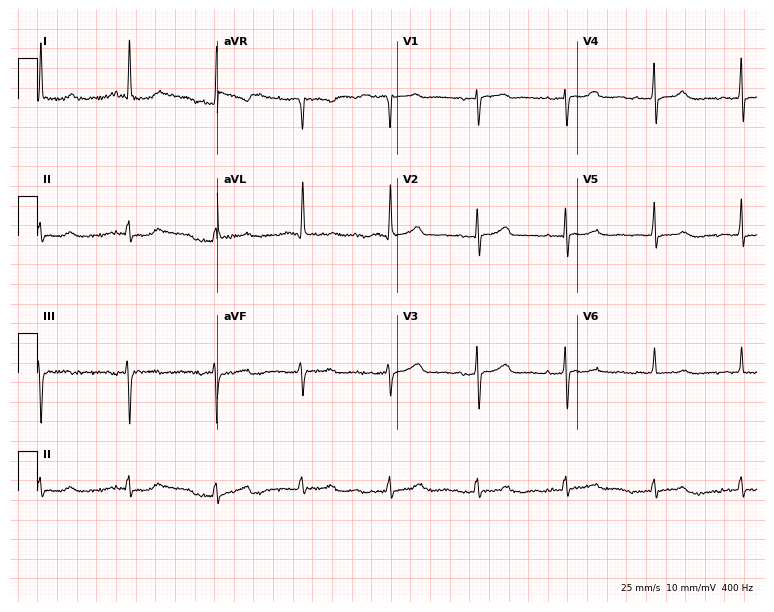
Standard 12-lead ECG recorded from a 68-year-old woman. Read as a normal ECG.